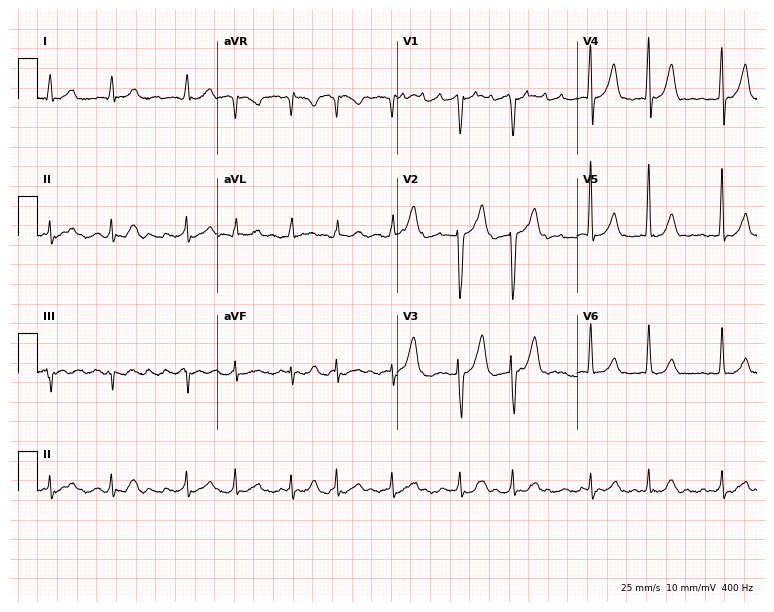
Resting 12-lead electrocardiogram (7.3-second recording at 400 Hz). Patient: a man, 83 years old. The tracing shows atrial fibrillation.